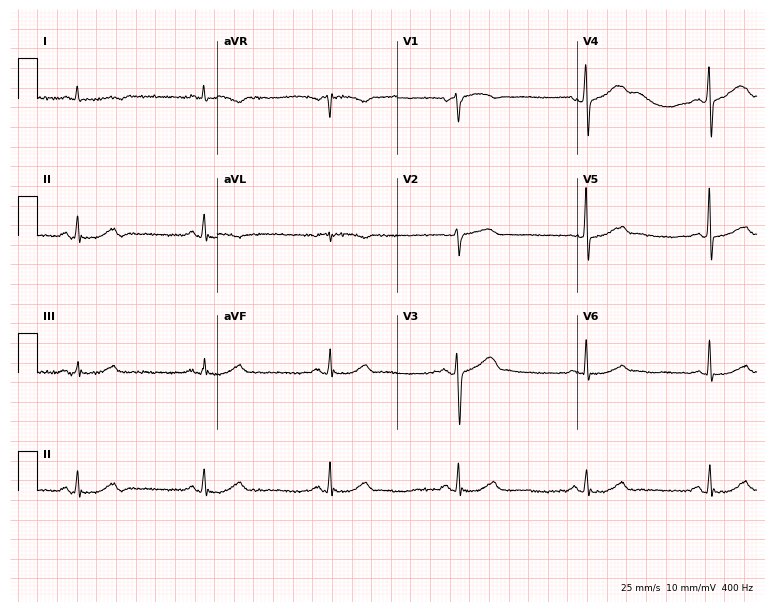
Standard 12-lead ECG recorded from a 74-year-old man (7.3-second recording at 400 Hz). The tracing shows sinus bradycardia (a sinus rate of 50 beats per minute or less).